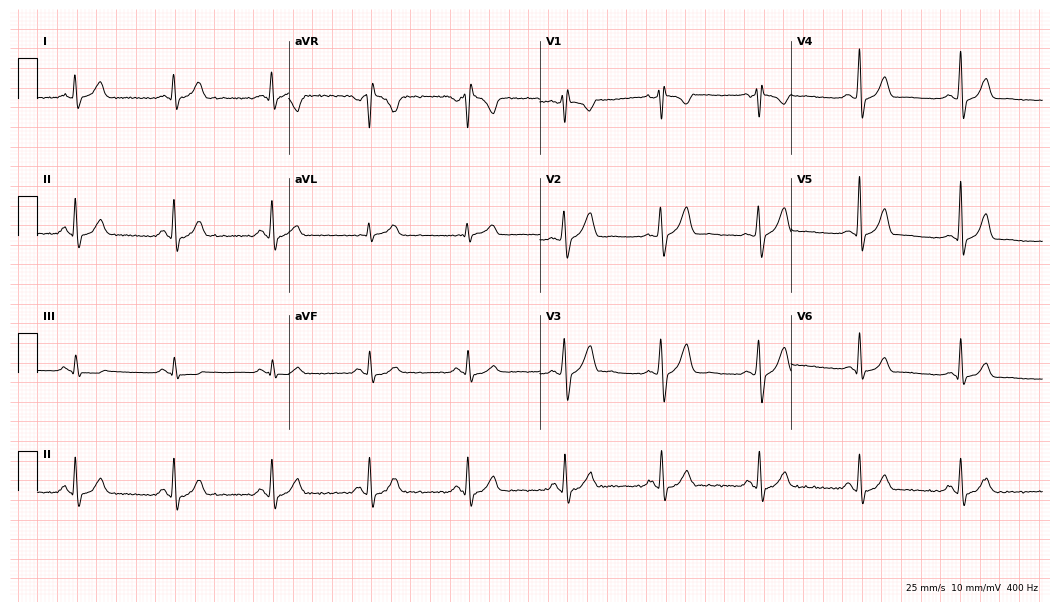
Electrocardiogram (10.2-second recording at 400 Hz), a 40-year-old male patient. Of the six screened findings (first-degree AV block, right bundle branch block, left bundle branch block, sinus bradycardia, atrial fibrillation, sinus tachycardia), none is recorded.